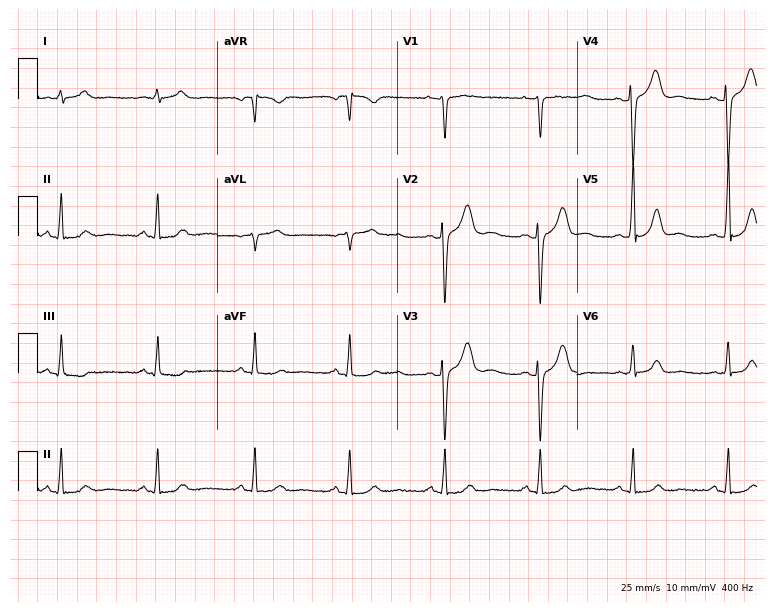
Resting 12-lead electrocardiogram (7.3-second recording at 400 Hz). Patient: a female, 32 years old. None of these six findings is recorded: first-degree AV block, right bundle branch block, left bundle branch block, sinus bradycardia, atrial fibrillation, sinus tachycardia.